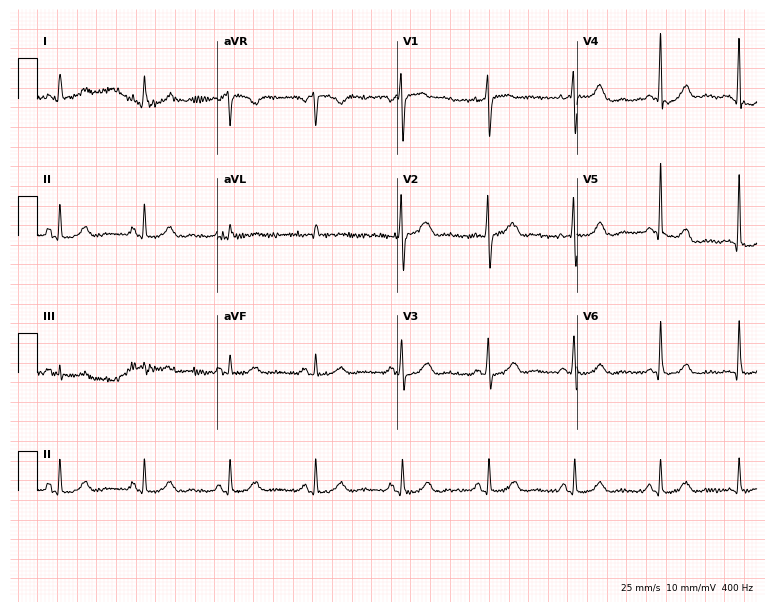
Resting 12-lead electrocardiogram (7.3-second recording at 400 Hz). Patient: a female, 56 years old. None of these six findings is recorded: first-degree AV block, right bundle branch block, left bundle branch block, sinus bradycardia, atrial fibrillation, sinus tachycardia.